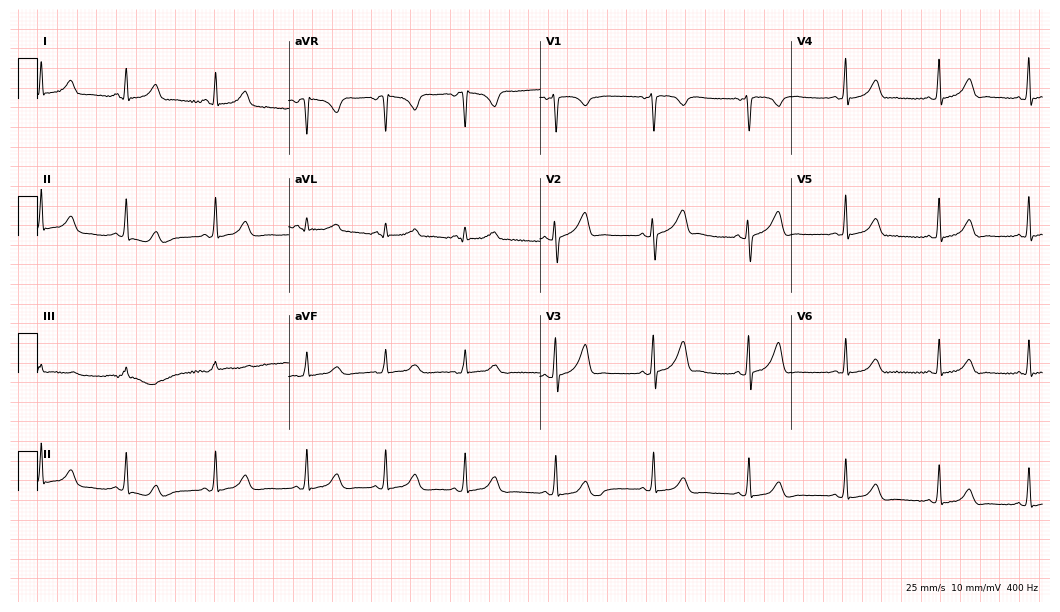
Standard 12-lead ECG recorded from a female, 25 years old (10.2-second recording at 400 Hz). None of these six findings is recorded: first-degree AV block, right bundle branch block, left bundle branch block, sinus bradycardia, atrial fibrillation, sinus tachycardia. Findings outside these six are not listed.